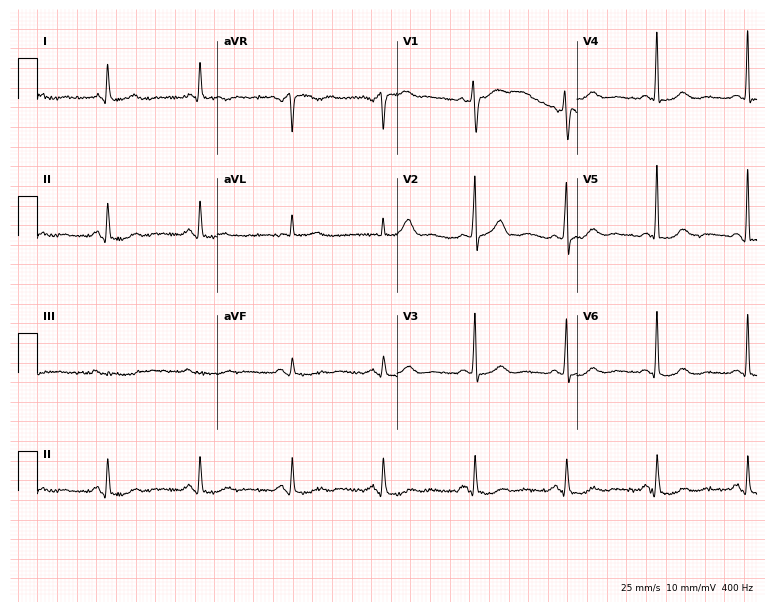
ECG (7.3-second recording at 400 Hz) — a female, 74 years old. Screened for six findings — first-degree AV block, right bundle branch block, left bundle branch block, sinus bradycardia, atrial fibrillation, sinus tachycardia — none is recorded.